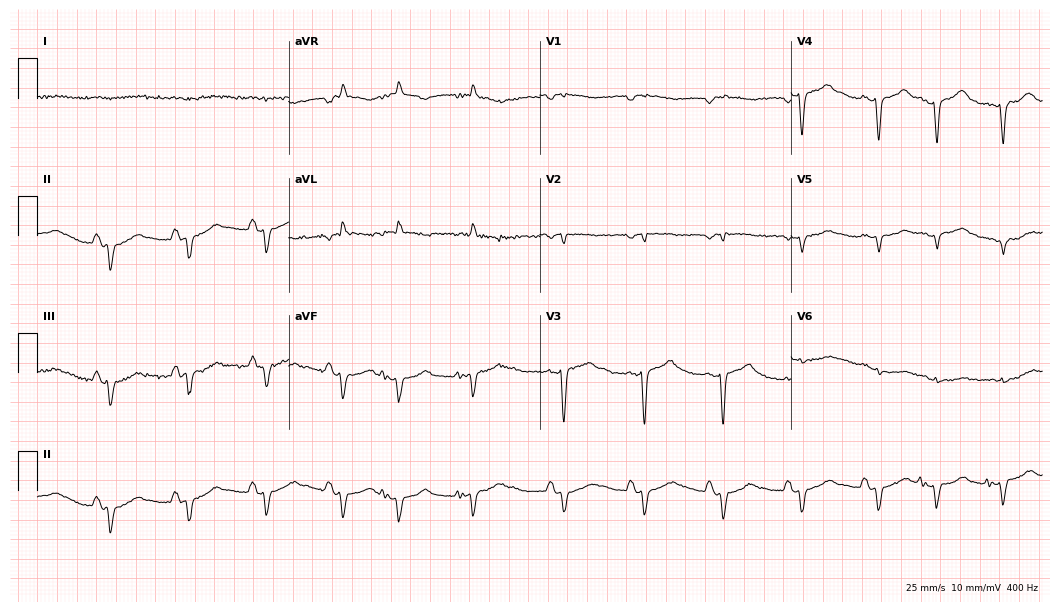
12-lead ECG from a man, 81 years old. No first-degree AV block, right bundle branch block, left bundle branch block, sinus bradycardia, atrial fibrillation or sinus tachycardia recorded for this tracing.